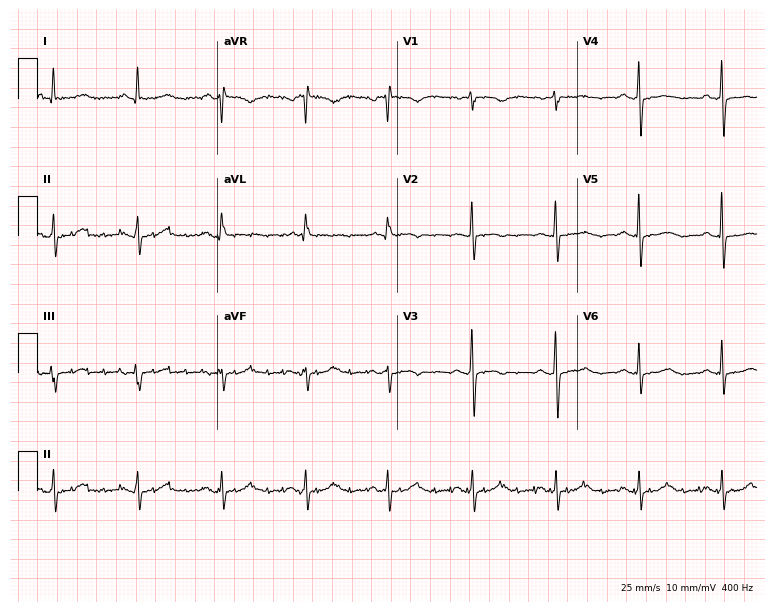
ECG (7.3-second recording at 400 Hz) — a 76-year-old woman. Screened for six findings — first-degree AV block, right bundle branch block, left bundle branch block, sinus bradycardia, atrial fibrillation, sinus tachycardia — none is recorded.